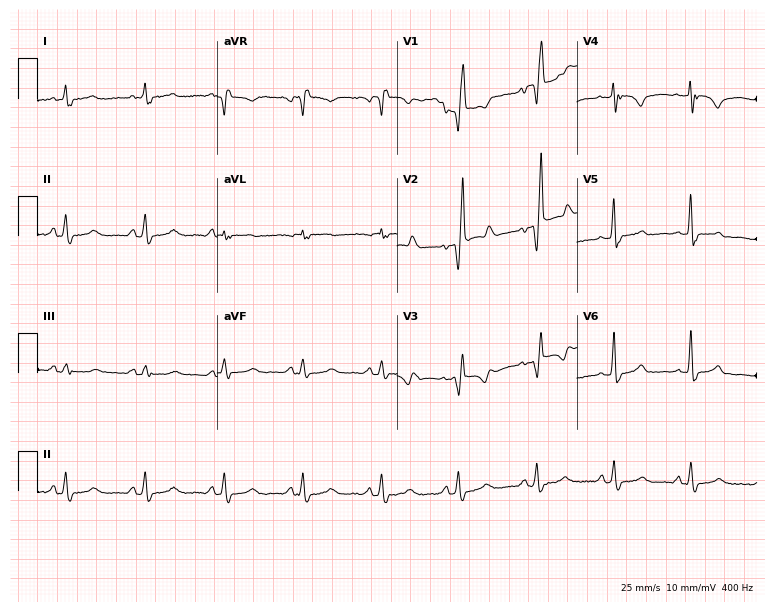
12-lead ECG from a man, 62 years old. Findings include right bundle branch block.